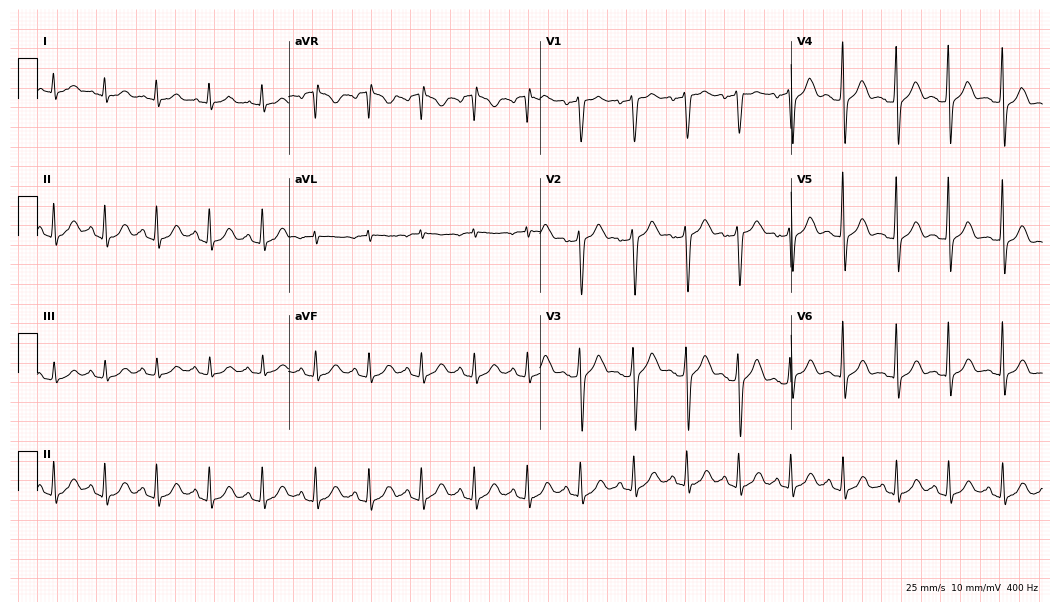
12-lead ECG from a man, 59 years old (10.2-second recording at 400 Hz). Shows sinus tachycardia (a sinus rate of 100 beats per minute or more).